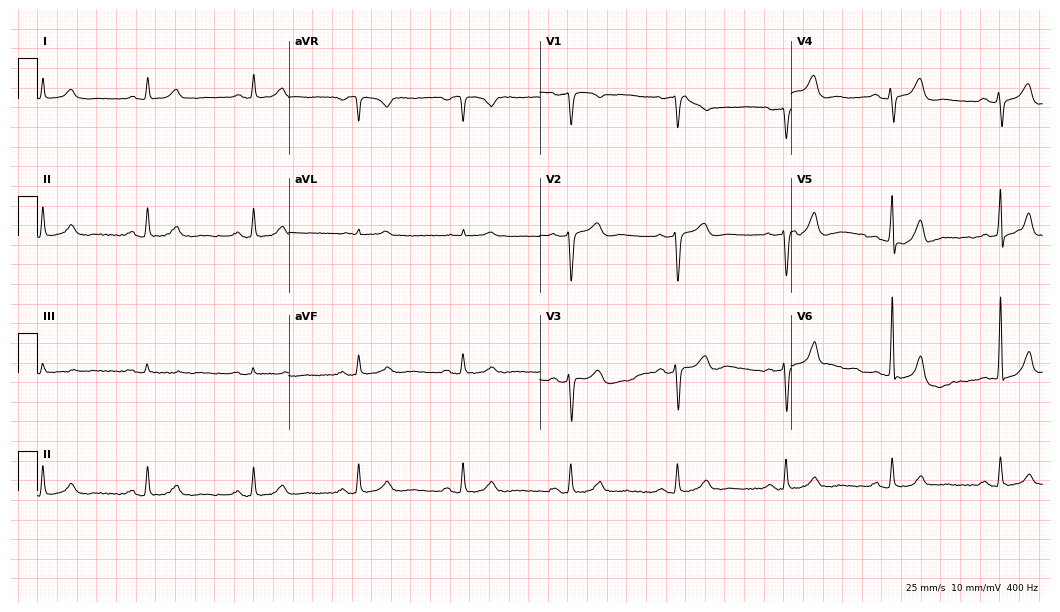
12-lead ECG (10.2-second recording at 400 Hz) from a 58-year-old man. Labelled as a normal ECG.